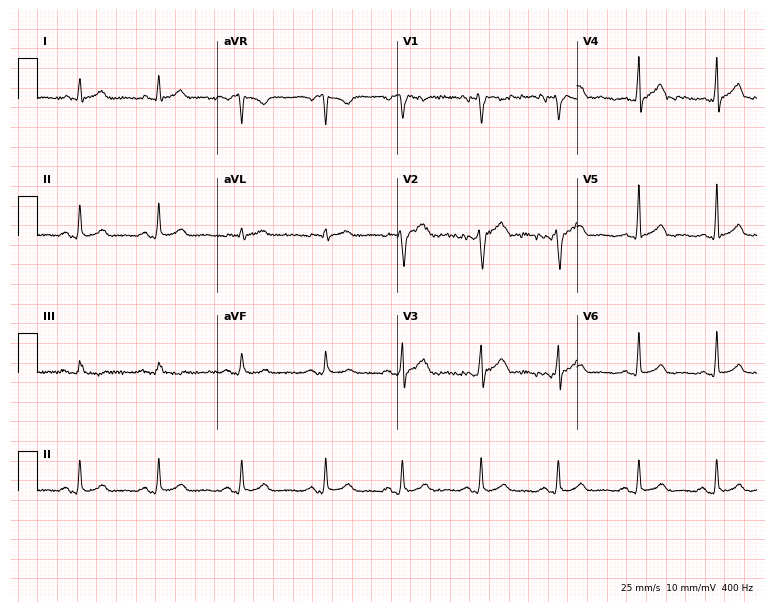
Resting 12-lead electrocardiogram (7.3-second recording at 400 Hz). Patient: a man, 24 years old. None of these six findings is recorded: first-degree AV block, right bundle branch block, left bundle branch block, sinus bradycardia, atrial fibrillation, sinus tachycardia.